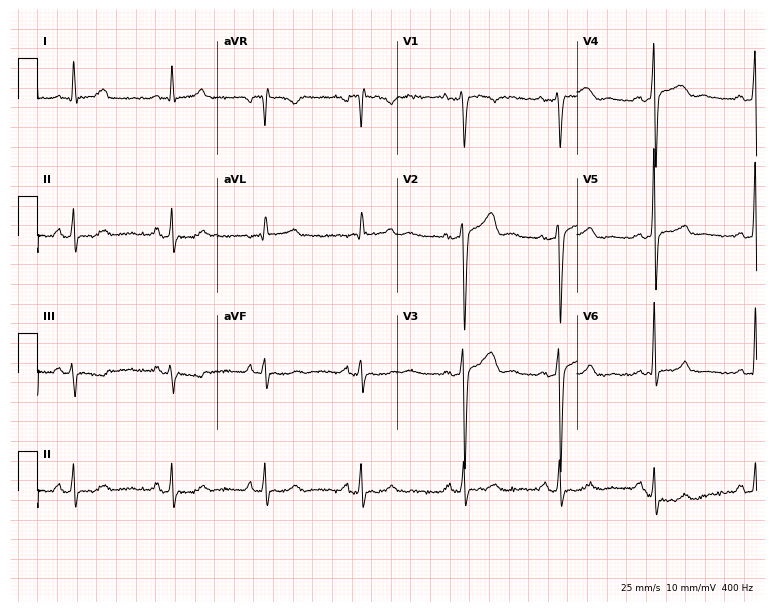
Electrocardiogram, a 37-year-old male patient. Overall reading on record: normal ECG.